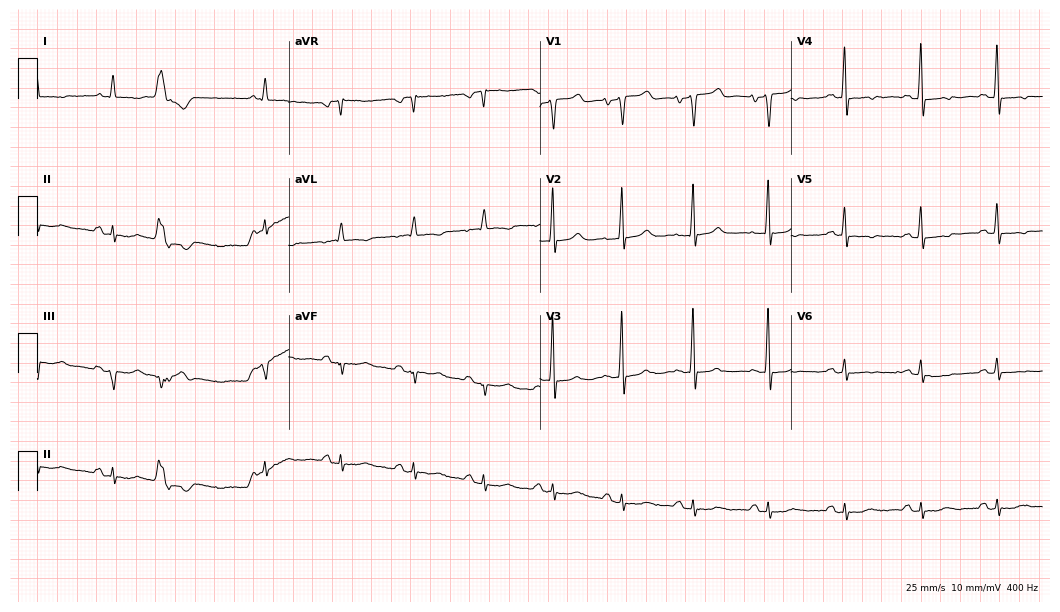
Resting 12-lead electrocardiogram. Patient: an 85-year-old male. None of these six findings is recorded: first-degree AV block, right bundle branch block, left bundle branch block, sinus bradycardia, atrial fibrillation, sinus tachycardia.